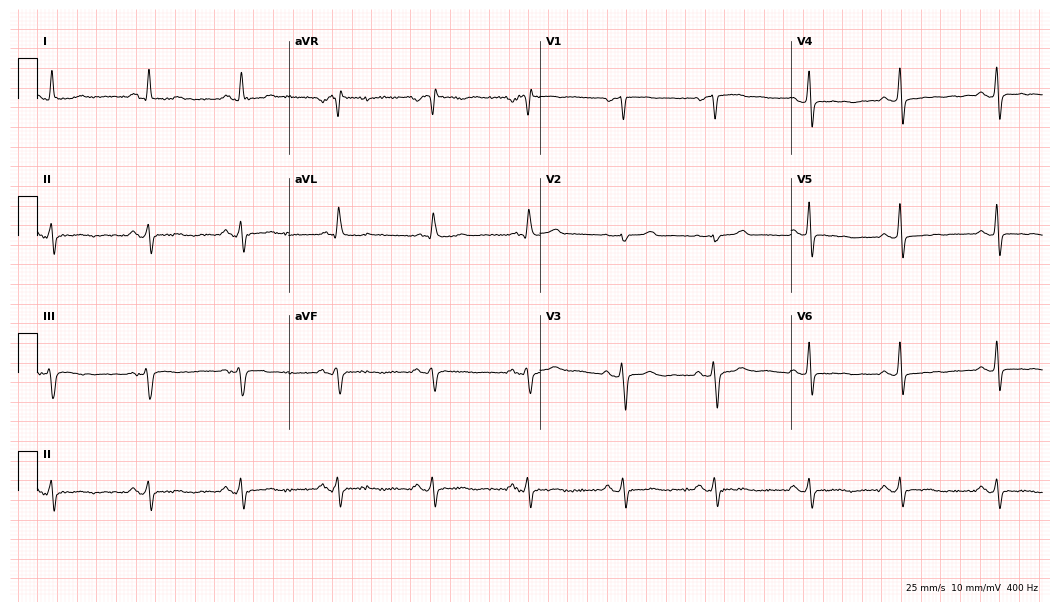
12-lead ECG from a woman, 53 years old (10.2-second recording at 400 Hz). No first-degree AV block, right bundle branch block, left bundle branch block, sinus bradycardia, atrial fibrillation or sinus tachycardia recorded for this tracing. Other findings, if any, are not listed.